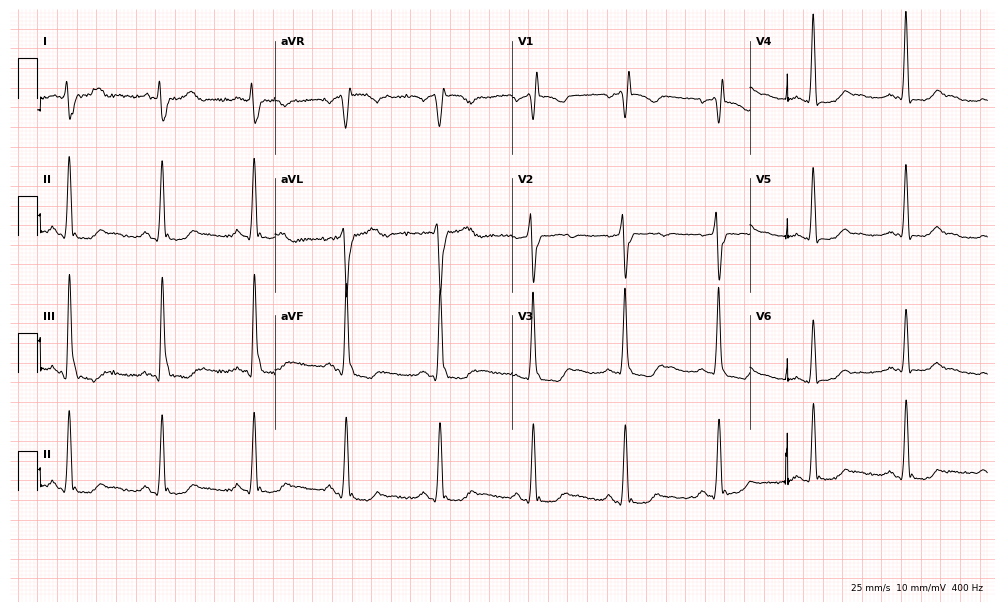
12-lead ECG from a 65-year-old female patient. Findings include first-degree AV block, right bundle branch block.